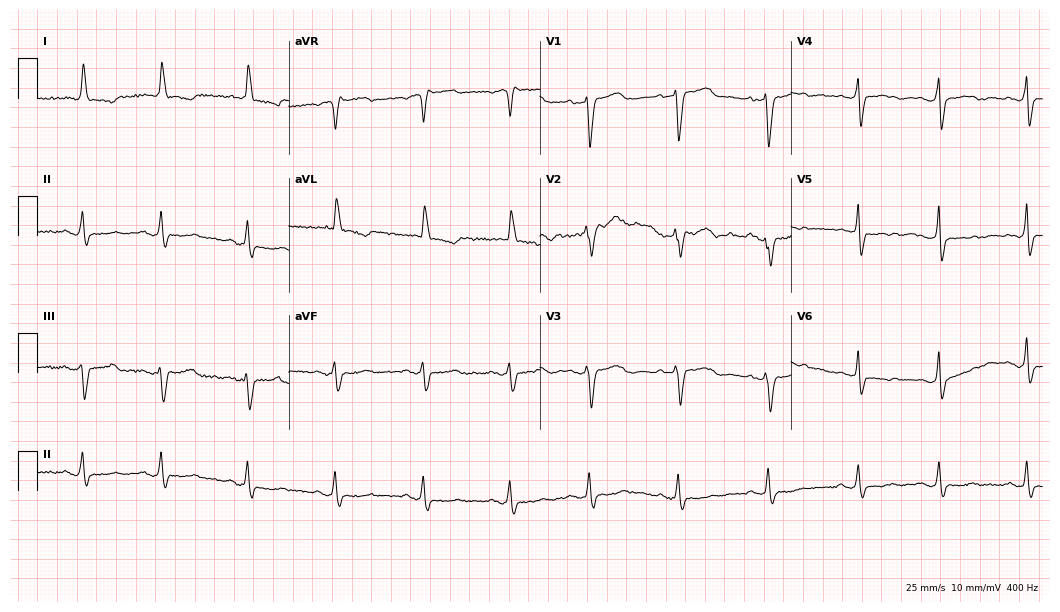
Electrocardiogram (10.2-second recording at 400 Hz), a 77-year-old woman. Of the six screened findings (first-degree AV block, right bundle branch block (RBBB), left bundle branch block (LBBB), sinus bradycardia, atrial fibrillation (AF), sinus tachycardia), none is recorded. Only these six findings were labelled.